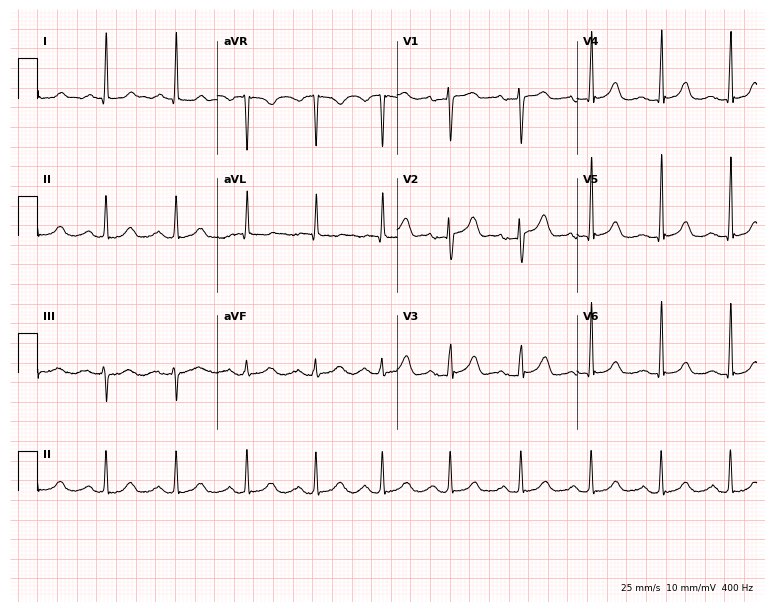
12-lead ECG from a 33-year-old woman. Screened for six findings — first-degree AV block, right bundle branch block, left bundle branch block, sinus bradycardia, atrial fibrillation, sinus tachycardia — none is recorded. Only these six findings were labelled.